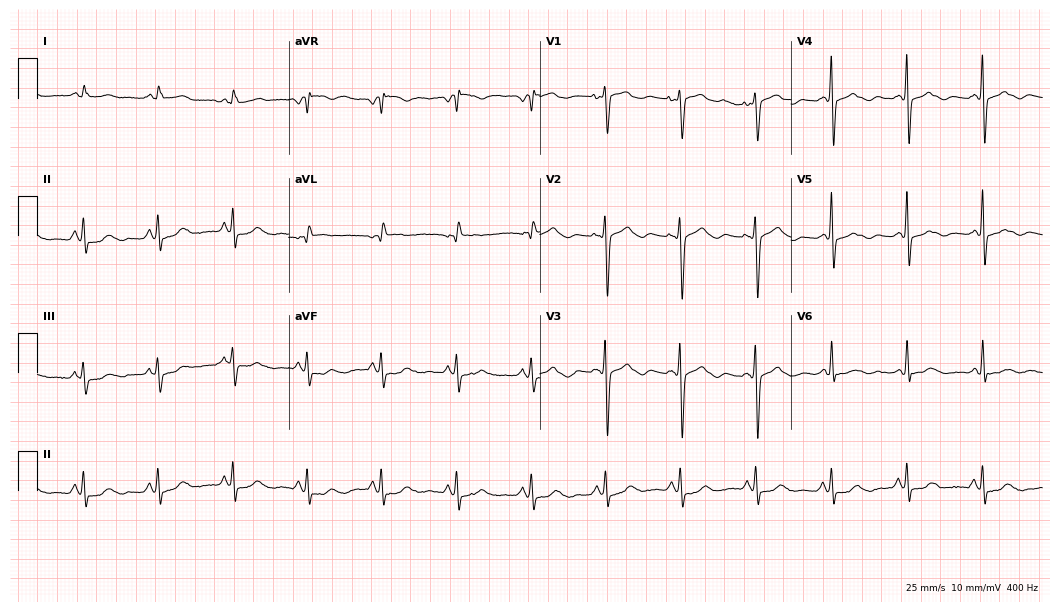
12-lead ECG from a woman, 74 years old. No first-degree AV block, right bundle branch block, left bundle branch block, sinus bradycardia, atrial fibrillation or sinus tachycardia recorded for this tracing. Other findings, if any, are not listed.